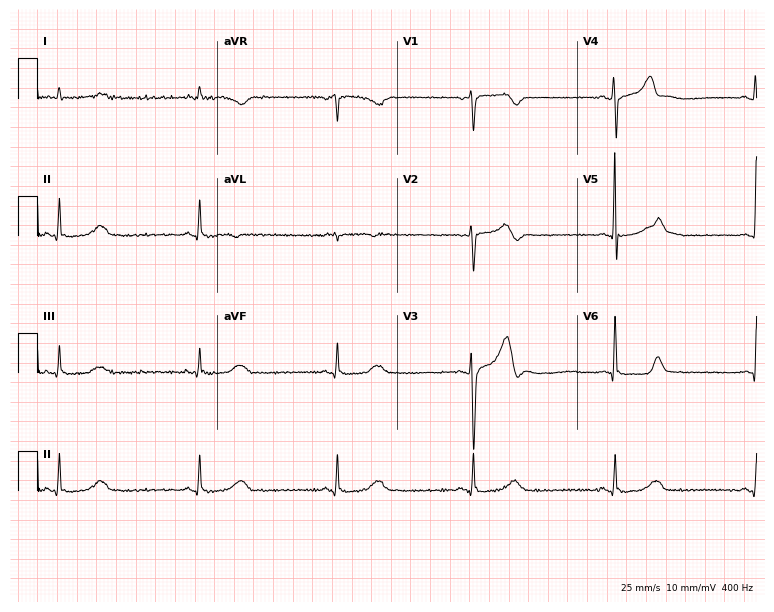
Standard 12-lead ECG recorded from a male, 44 years old. The tracing shows sinus bradycardia (a sinus rate of 50 beats per minute or less).